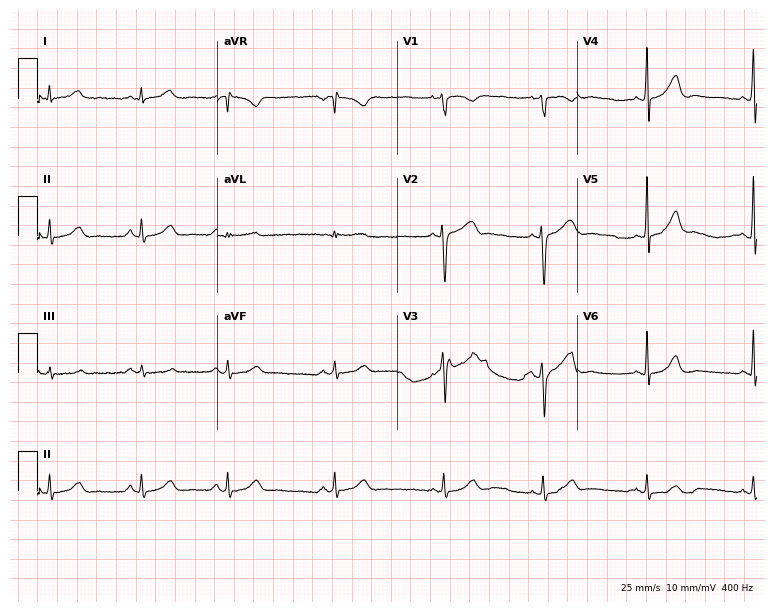
ECG (7.3-second recording at 400 Hz) — a female patient, 31 years old. Labelled as a normal ECG.